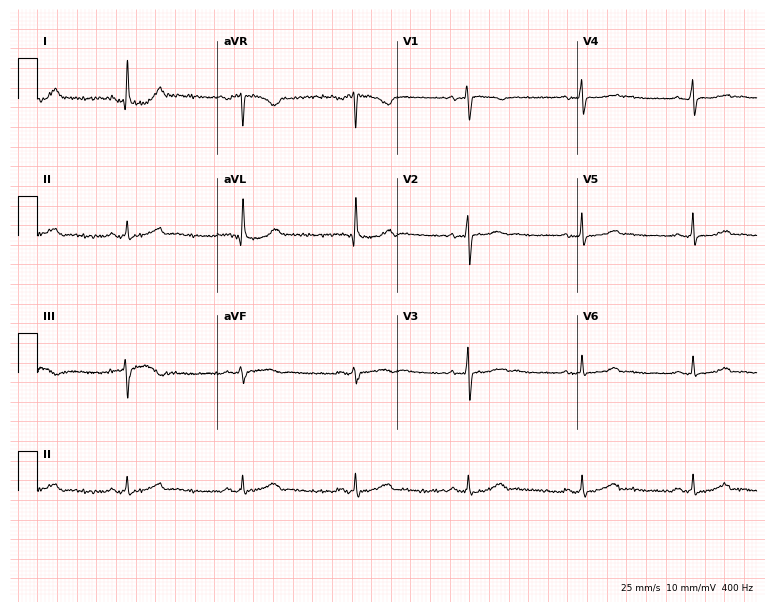
ECG — a female patient, 43 years old. Screened for six findings — first-degree AV block, right bundle branch block, left bundle branch block, sinus bradycardia, atrial fibrillation, sinus tachycardia — none is recorded. Other findings, if any, are not listed.